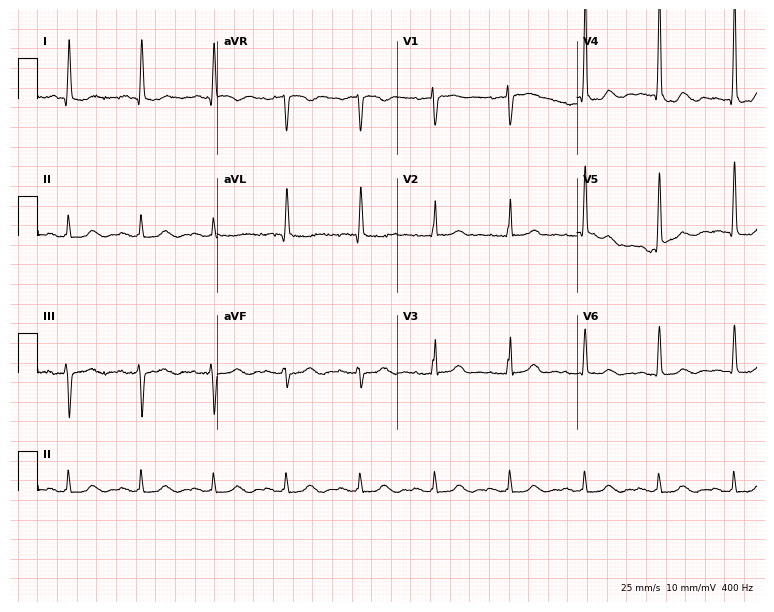
Electrocardiogram (7.3-second recording at 400 Hz), an 82-year-old female patient. Of the six screened findings (first-degree AV block, right bundle branch block, left bundle branch block, sinus bradycardia, atrial fibrillation, sinus tachycardia), none is recorded. Only these six findings were labelled.